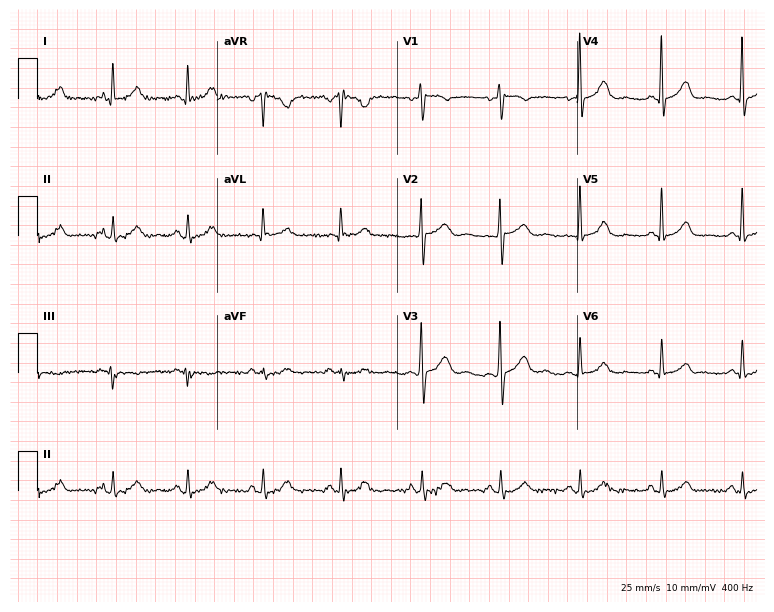
12-lead ECG from a 56-year-old female patient (7.3-second recording at 400 Hz). No first-degree AV block, right bundle branch block, left bundle branch block, sinus bradycardia, atrial fibrillation or sinus tachycardia recorded for this tracing. Other findings, if any, are not listed.